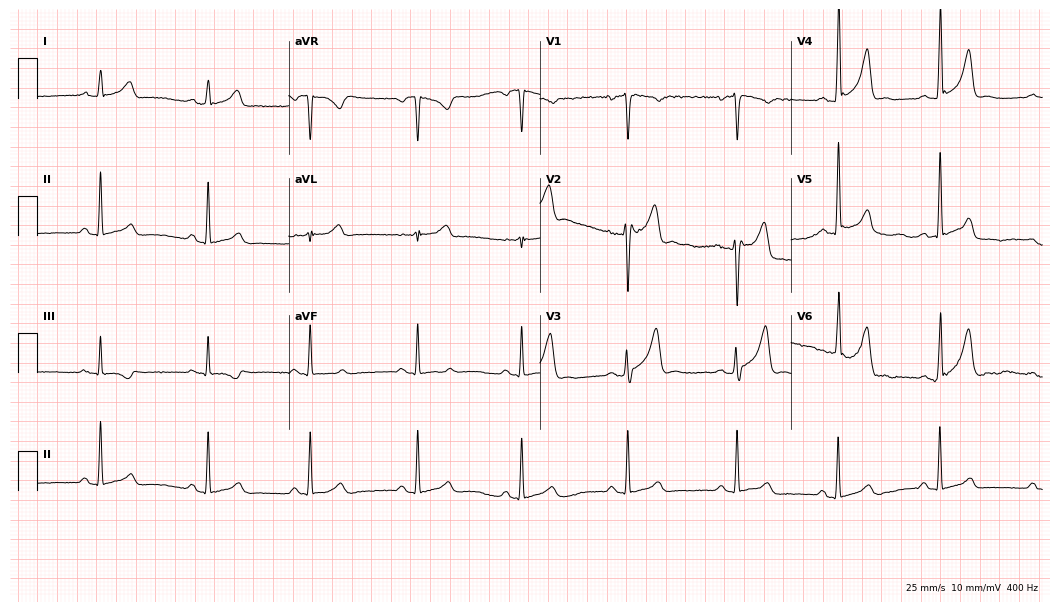
Resting 12-lead electrocardiogram. Patient: a man, 31 years old. Read as a normal ECG.